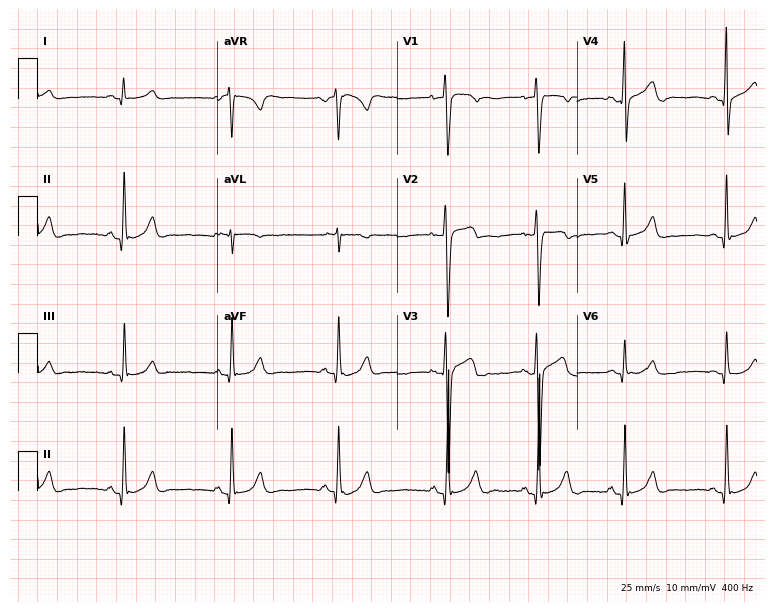
ECG — a 20-year-old man. Labelled as a normal ECG.